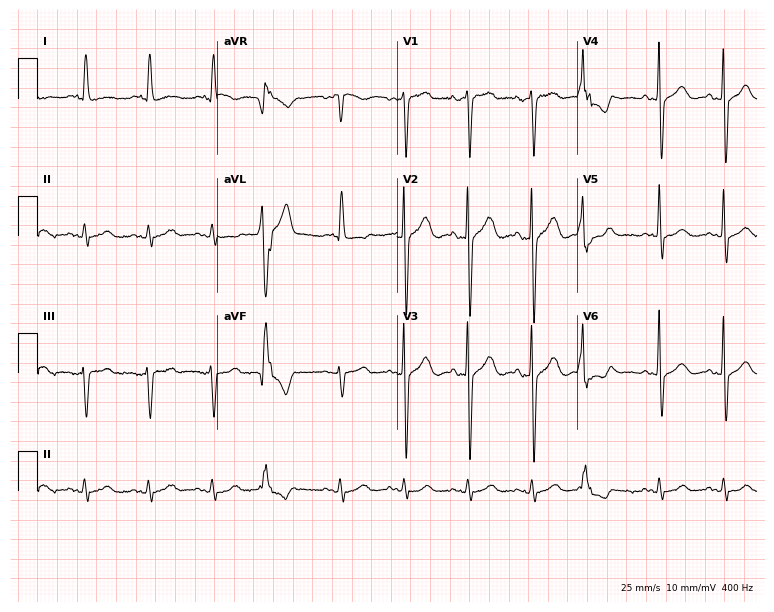
Resting 12-lead electrocardiogram. Patient: an 82-year-old female. None of these six findings is recorded: first-degree AV block, right bundle branch block, left bundle branch block, sinus bradycardia, atrial fibrillation, sinus tachycardia.